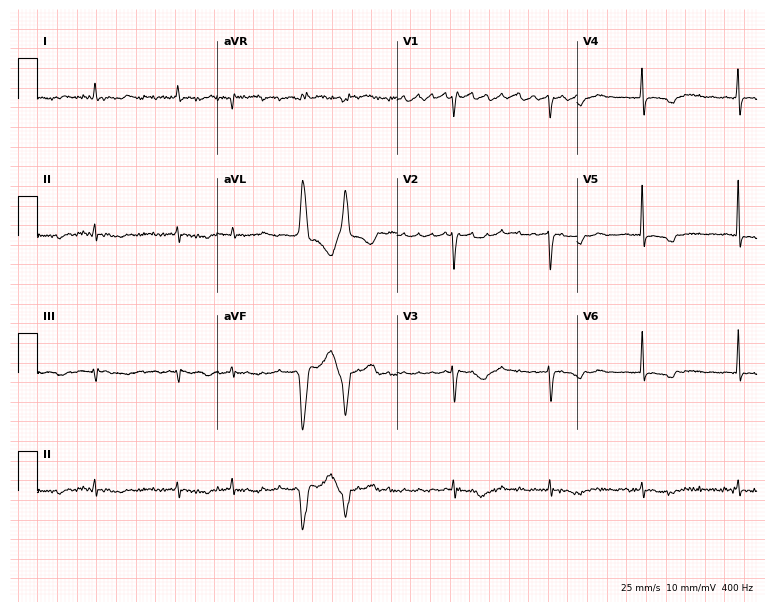
12-lead ECG from a female, 75 years old. Shows atrial fibrillation (AF).